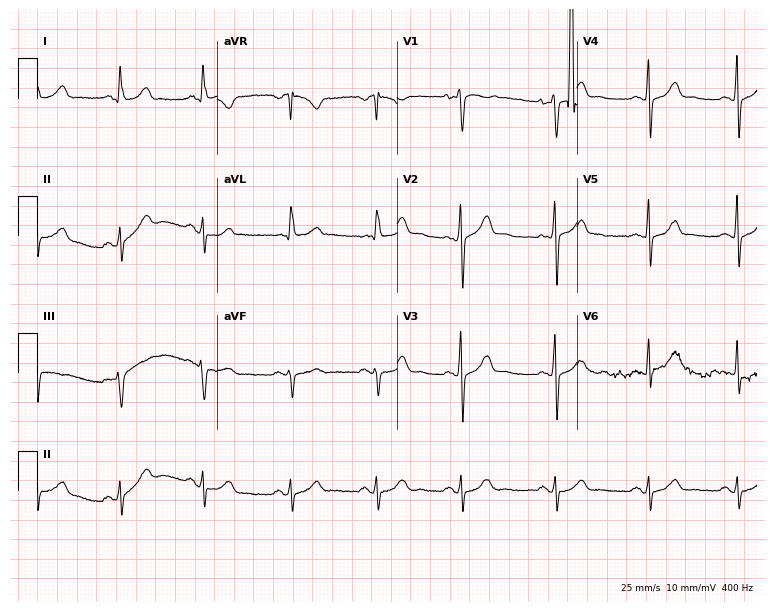
12-lead ECG from a 44-year-old woman. Screened for six findings — first-degree AV block, right bundle branch block, left bundle branch block, sinus bradycardia, atrial fibrillation, sinus tachycardia — none is recorded. Other findings, if any, are not listed.